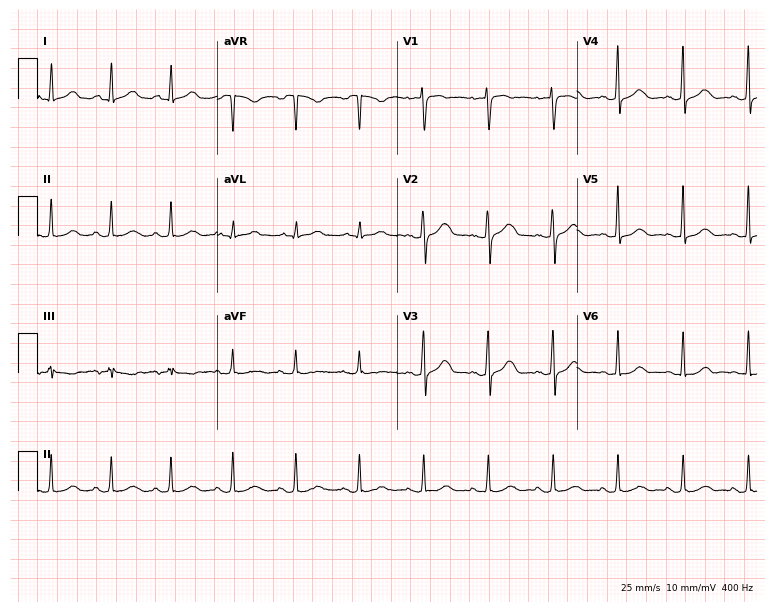
ECG (7.3-second recording at 400 Hz) — a female, 39 years old. Labelled as a normal ECG.